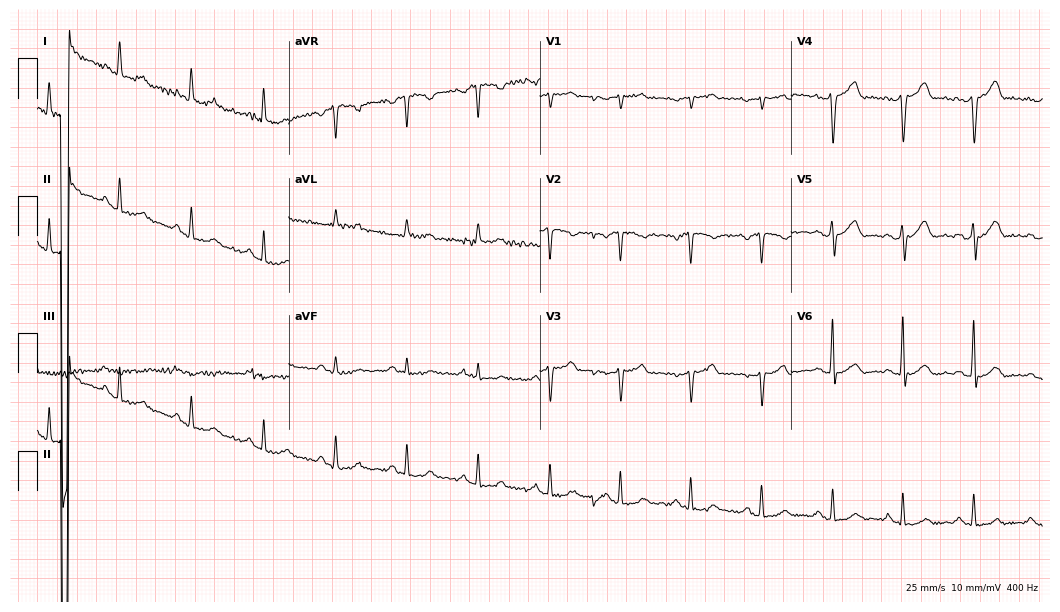
12-lead ECG from a 68-year-old male. Labelled as a normal ECG.